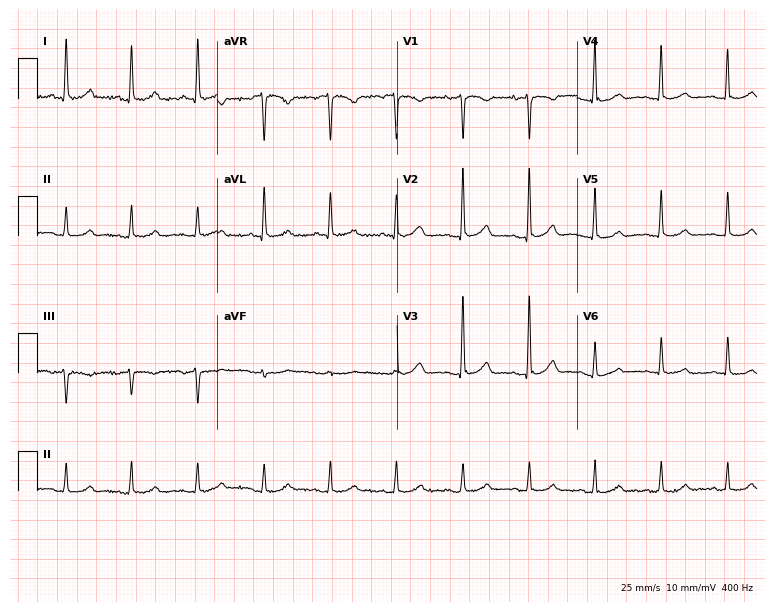
12-lead ECG from a female, 61 years old (7.3-second recording at 400 Hz). Recorded interpretation: within normal limits.